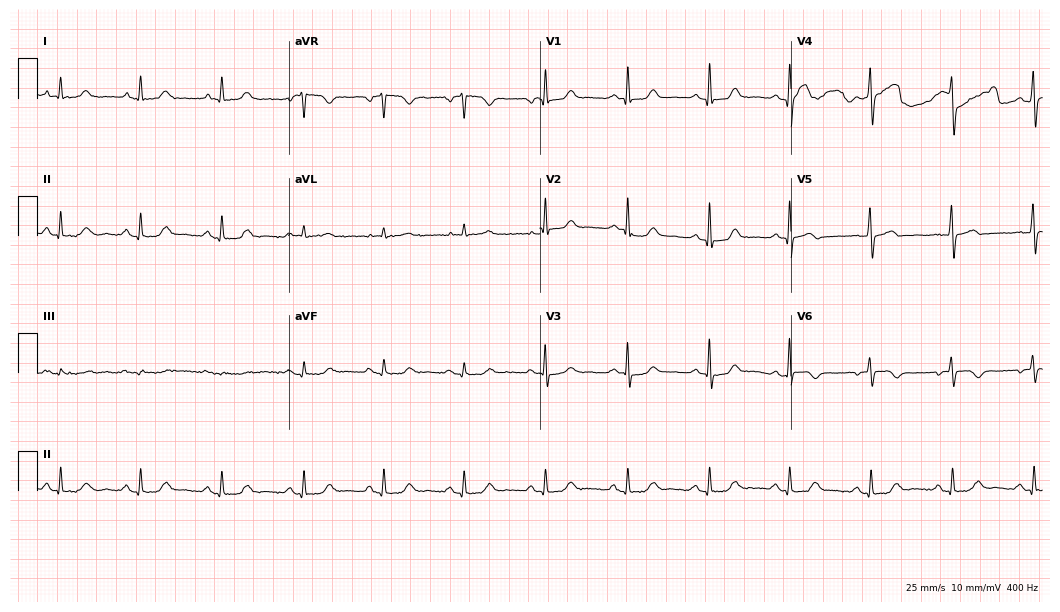
Electrocardiogram, a 73-year-old female patient. Of the six screened findings (first-degree AV block, right bundle branch block, left bundle branch block, sinus bradycardia, atrial fibrillation, sinus tachycardia), none is recorded.